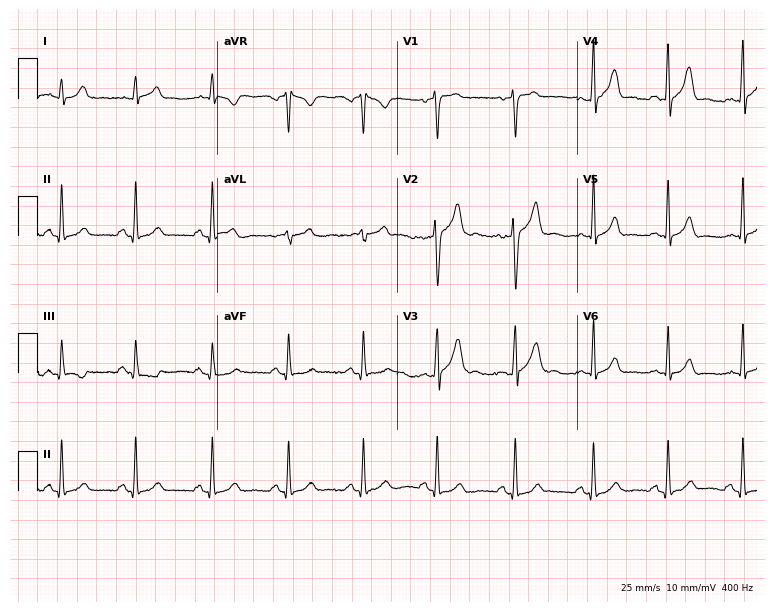
Standard 12-lead ECG recorded from a 27-year-old male. Read as a normal ECG.